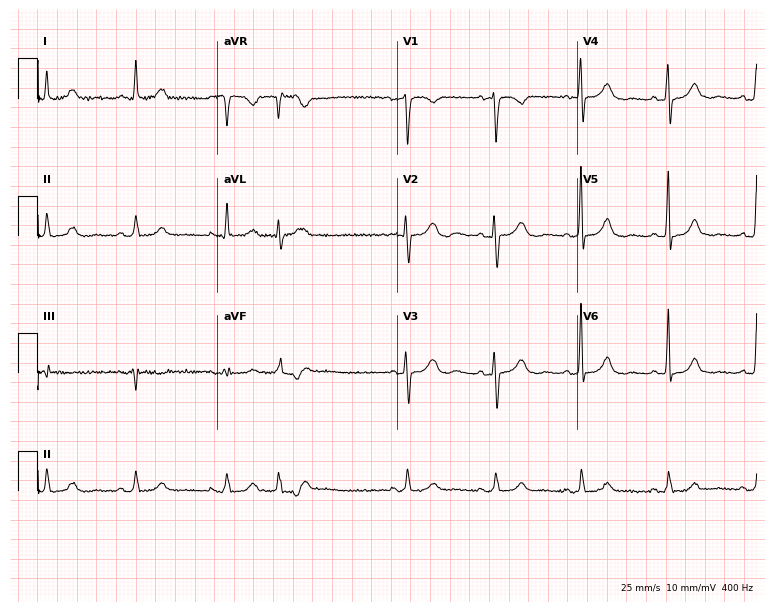
ECG (7.3-second recording at 400 Hz) — a woman, 21 years old. Screened for six findings — first-degree AV block, right bundle branch block, left bundle branch block, sinus bradycardia, atrial fibrillation, sinus tachycardia — none is recorded.